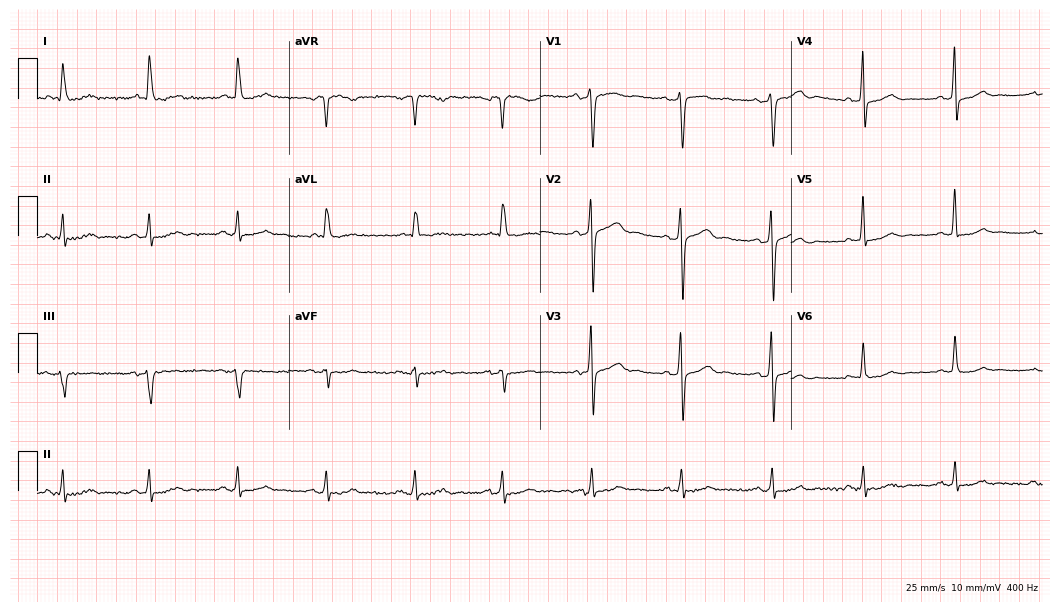
12-lead ECG (10.2-second recording at 400 Hz) from a 46-year-old male. Screened for six findings — first-degree AV block, right bundle branch block, left bundle branch block, sinus bradycardia, atrial fibrillation, sinus tachycardia — none is recorded.